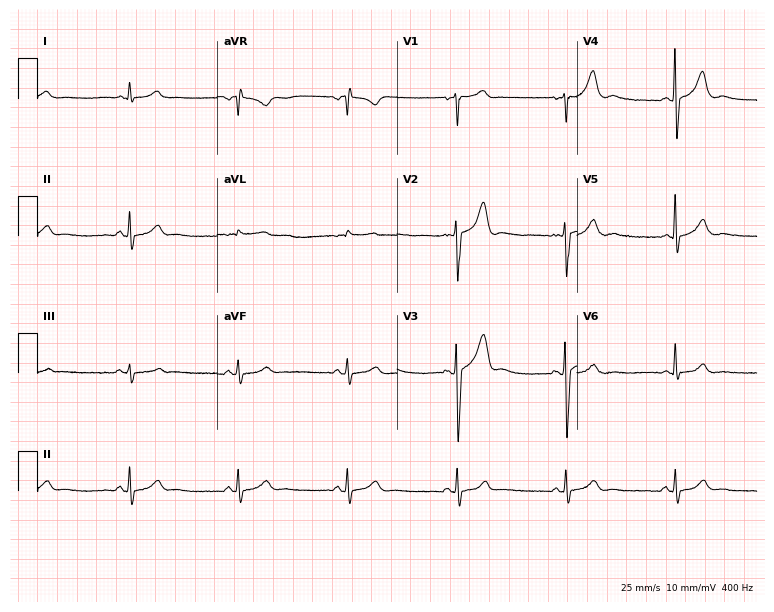
12-lead ECG from a male patient, 63 years old. Recorded interpretation: within normal limits.